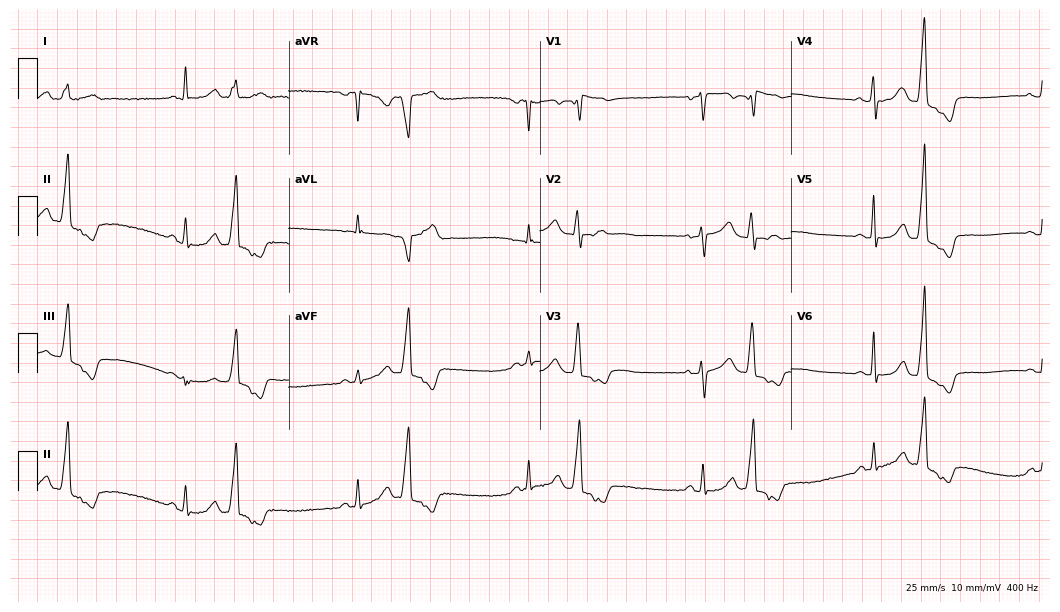
Electrocardiogram, a 55-year-old female patient. Of the six screened findings (first-degree AV block, right bundle branch block, left bundle branch block, sinus bradycardia, atrial fibrillation, sinus tachycardia), none is recorded. Findings outside these six are not listed.